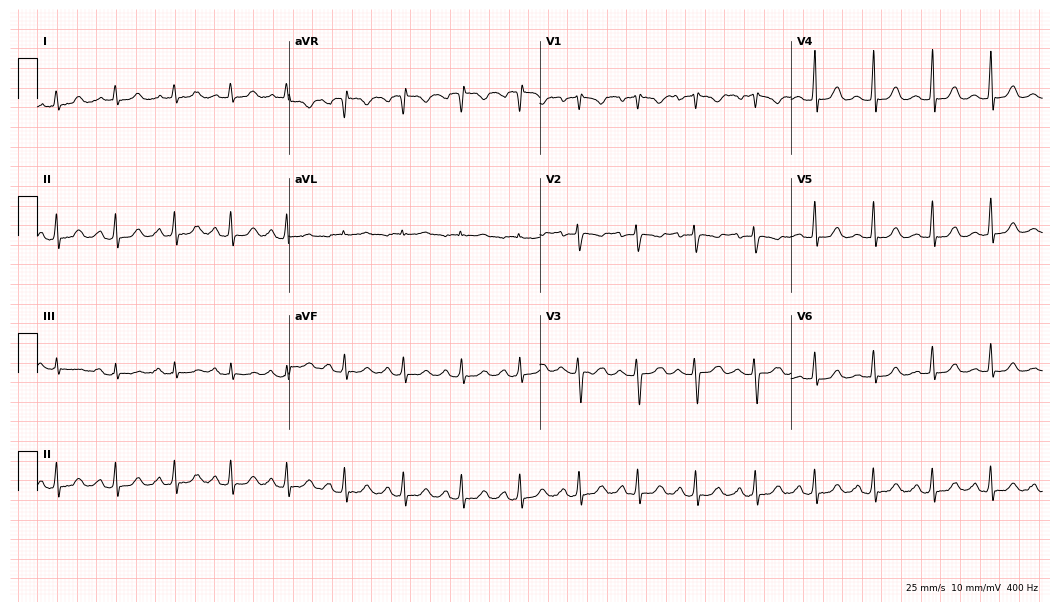
Resting 12-lead electrocardiogram (10.2-second recording at 400 Hz). Patient: a woman, 23 years old. The tracing shows sinus tachycardia (a sinus rate of 100 beats per minute or more).